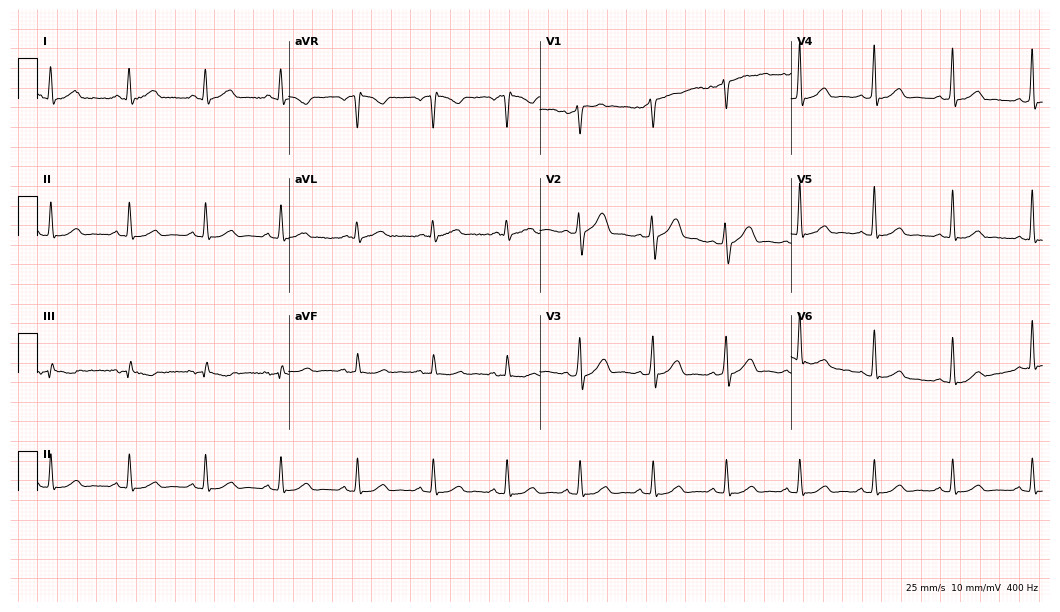
12-lead ECG from a 51-year-old man. No first-degree AV block, right bundle branch block, left bundle branch block, sinus bradycardia, atrial fibrillation or sinus tachycardia recorded for this tracing. Other findings, if any, are not listed.